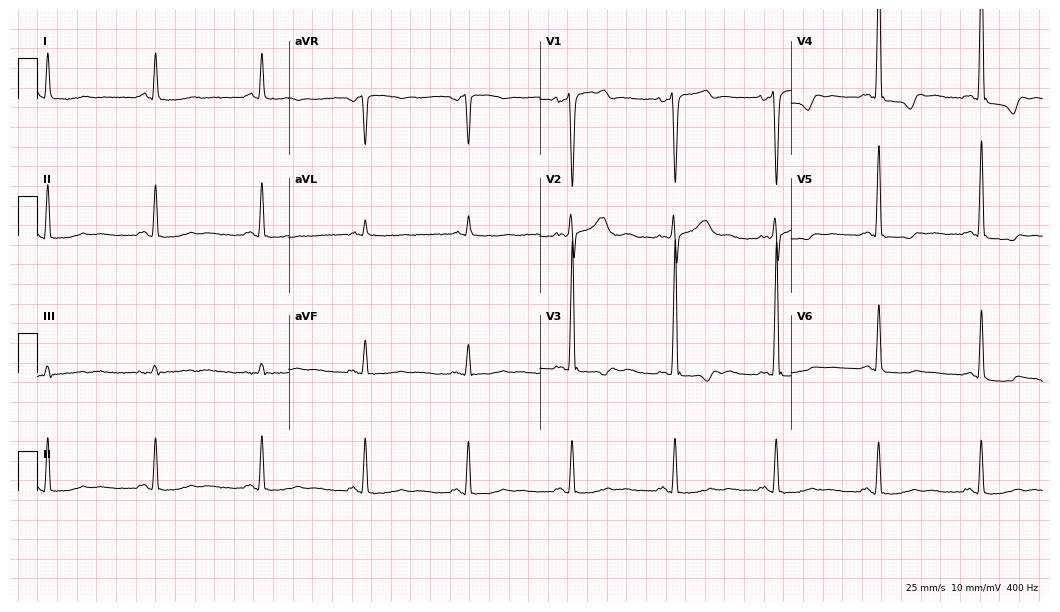
12-lead ECG (10.2-second recording at 400 Hz) from a male, 68 years old. Screened for six findings — first-degree AV block, right bundle branch block, left bundle branch block, sinus bradycardia, atrial fibrillation, sinus tachycardia — none is recorded.